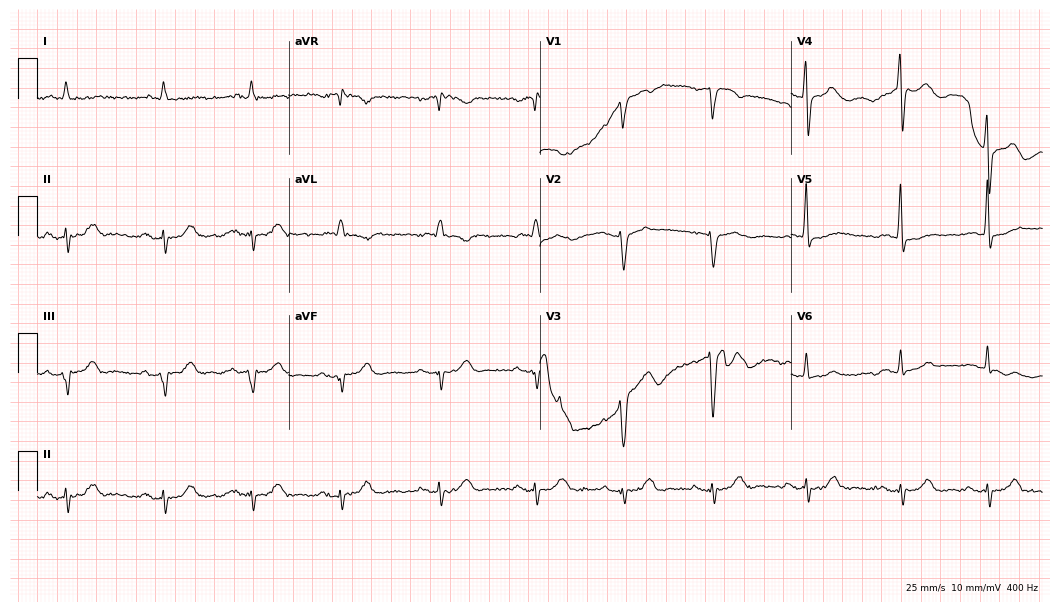
Resting 12-lead electrocardiogram. Patient: a male, 73 years old. None of these six findings is recorded: first-degree AV block, right bundle branch block, left bundle branch block, sinus bradycardia, atrial fibrillation, sinus tachycardia. Other findings, if any, are not listed.